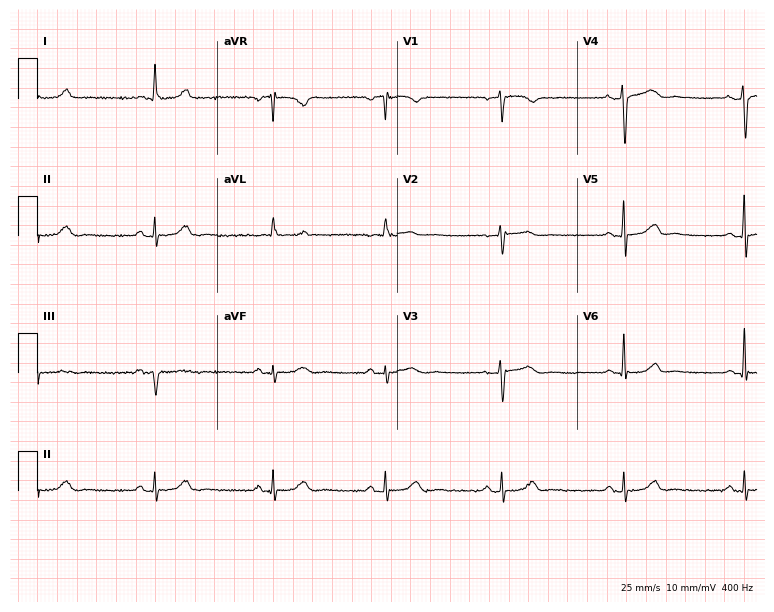
Resting 12-lead electrocardiogram. Patient: a 48-year-old female. None of these six findings is recorded: first-degree AV block, right bundle branch block, left bundle branch block, sinus bradycardia, atrial fibrillation, sinus tachycardia.